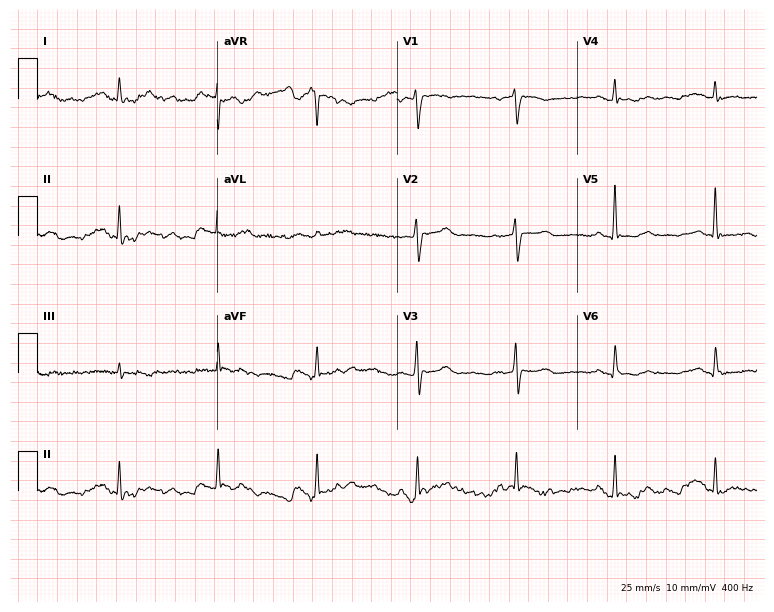
Electrocardiogram, a male, 75 years old. Of the six screened findings (first-degree AV block, right bundle branch block (RBBB), left bundle branch block (LBBB), sinus bradycardia, atrial fibrillation (AF), sinus tachycardia), none is recorded.